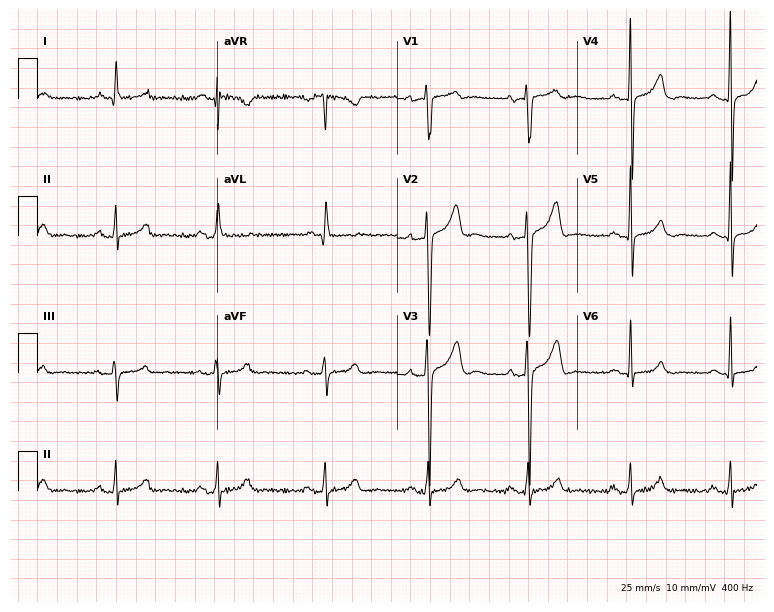
Standard 12-lead ECG recorded from a 62-year-old man (7.3-second recording at 400 Hz). Read as a normal ECG.